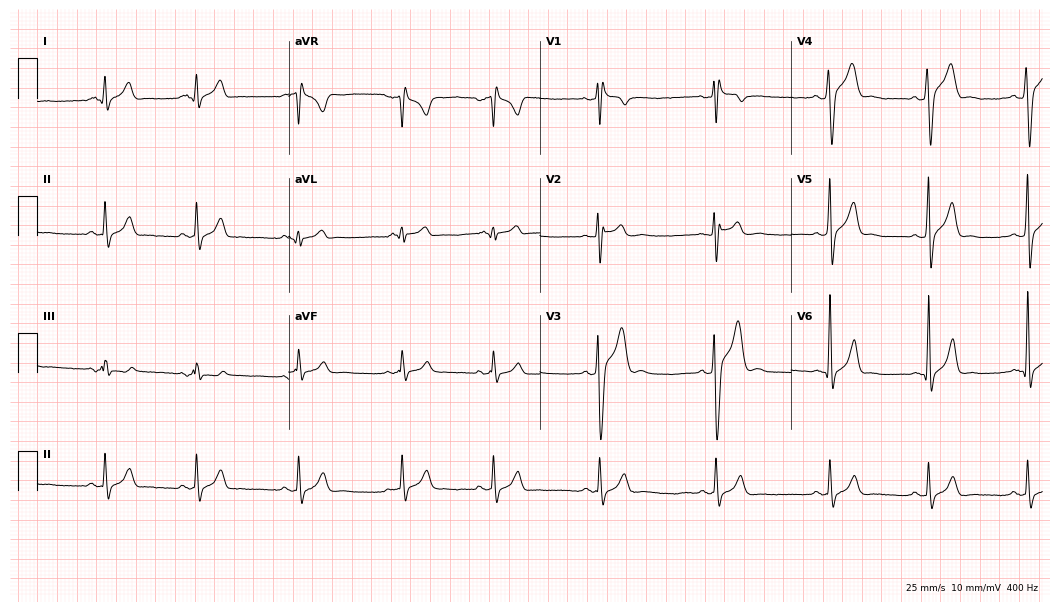
Electrocardiogram, a man, 19 years old. Of the six screened findings (first-degree AV block, right bundle branch block (RBBB), left bundle branch block (LBBB), sinus bradycardia, atrial fibrillation (AF), sinus tachycardia), none is recorded.